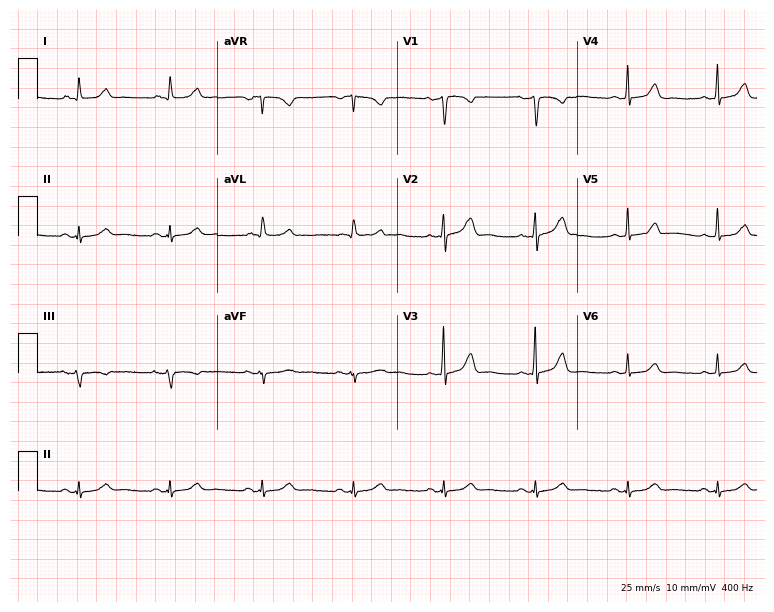
Standard 12-lead ECG recorded from a 52-year-old female patient (7.3-second recording at 400 Hz). Read as a normal ECG.